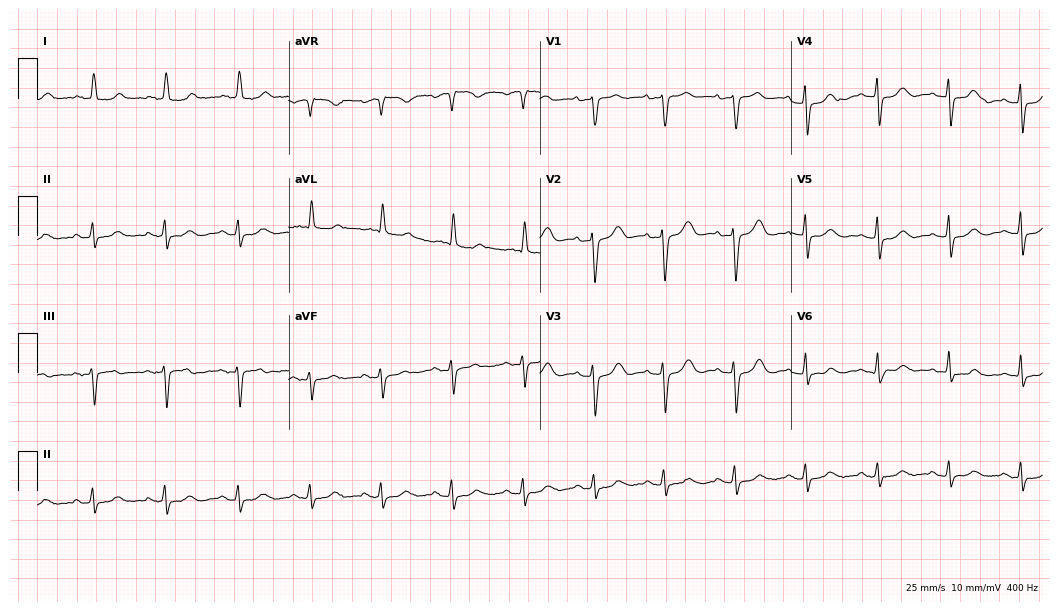
12-lead ECG from a female patient, 85 years old. Recorded interpretation: within normal limits.